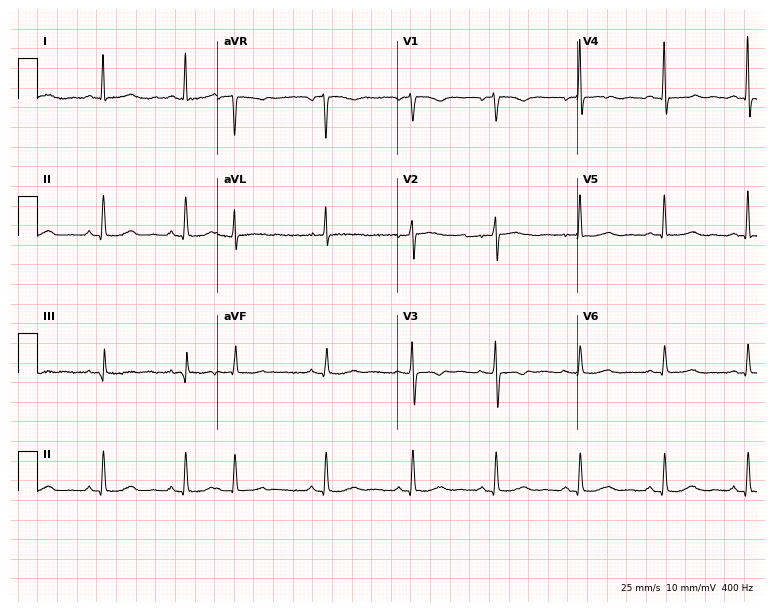
Resting 12-lead electrocardiogram. Patient: a woman, 66 years old. None of these six findings is recorded: first-degree AV block, right bundle branch block, left bundle branch block, sinus bradycardia, atrial fibrillation, sinus tachycardia.